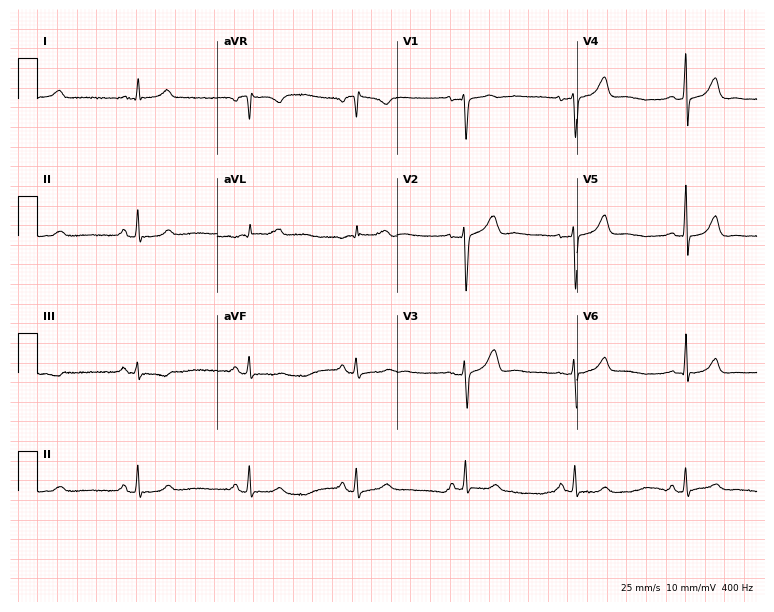
Resting 12-lead electrocardiogram. Patient: a female, 45 years old. None of these six findings is recorded: first-degree AV block, right bundle branch block, left bundle branch block, sinus bradycardia, atrial fibrillation, sinus tachycardia.